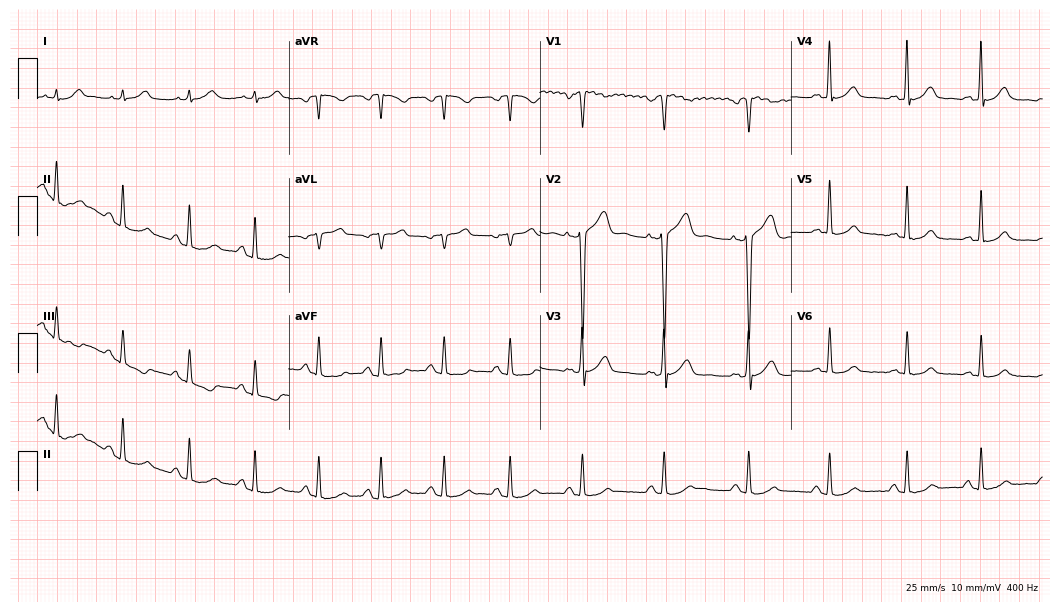
Standard 12-lead ECG recorded from a male, 57 years old. None of these six findings is recorded: first-degree AV block, right bundle branch block (RBBB), left bundle branch block (LBBB), sinus bradycardia, atrial fibrillation (AF), sinus tachycardia.